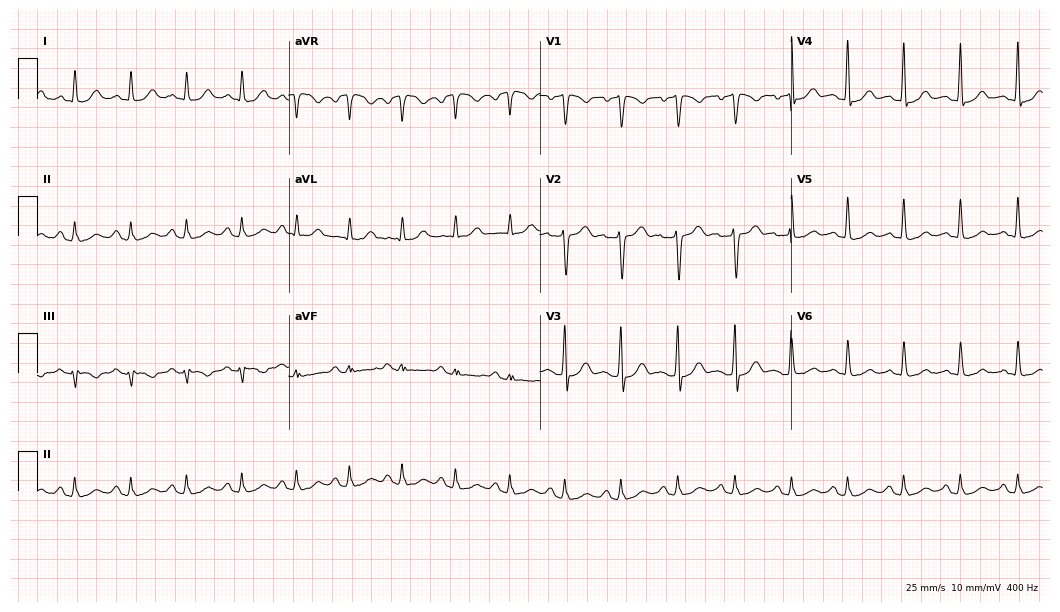
12-lead ECG from a 39-year-old male patient. Screened for six findings — first-degree AV block, right bundle branch block, left bundle branch block, sinus bradycardia, atrial fibrillation, sinus tachycardia — none is recorded. Only these six findings were labelled.